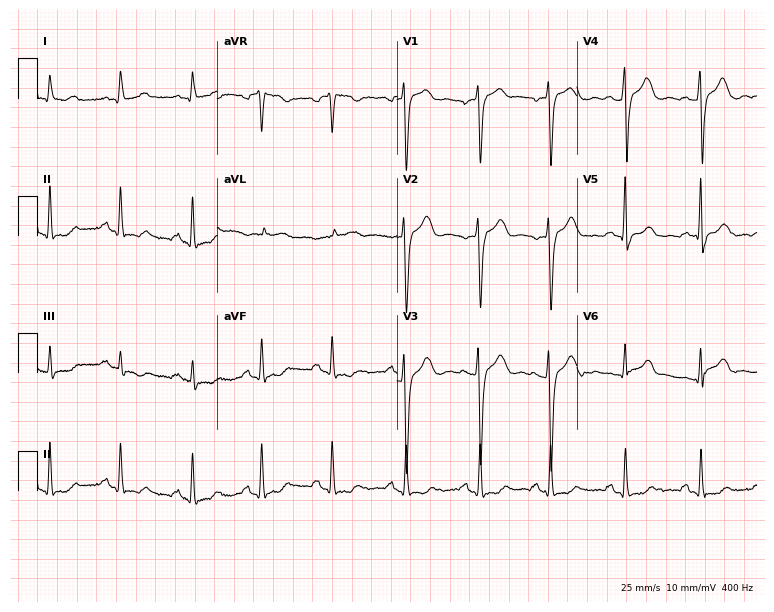
Resting 12-lead electrocardiogram. Patient: a 49-year-old female. Read as a normal ECG.